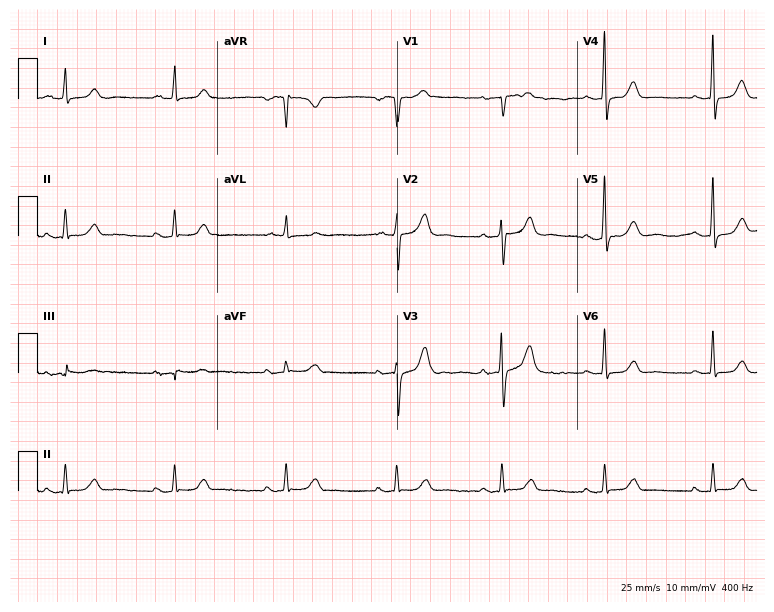
12-lead ECG from a 60-year-old female patient. Screened for six findings — first-degree AV block, right bundle branch block (RBBB), left bundle branch block (LBBB), sinus bradycardia, atrial fibrillation (AF), sinus tachycardia — none is recorded.